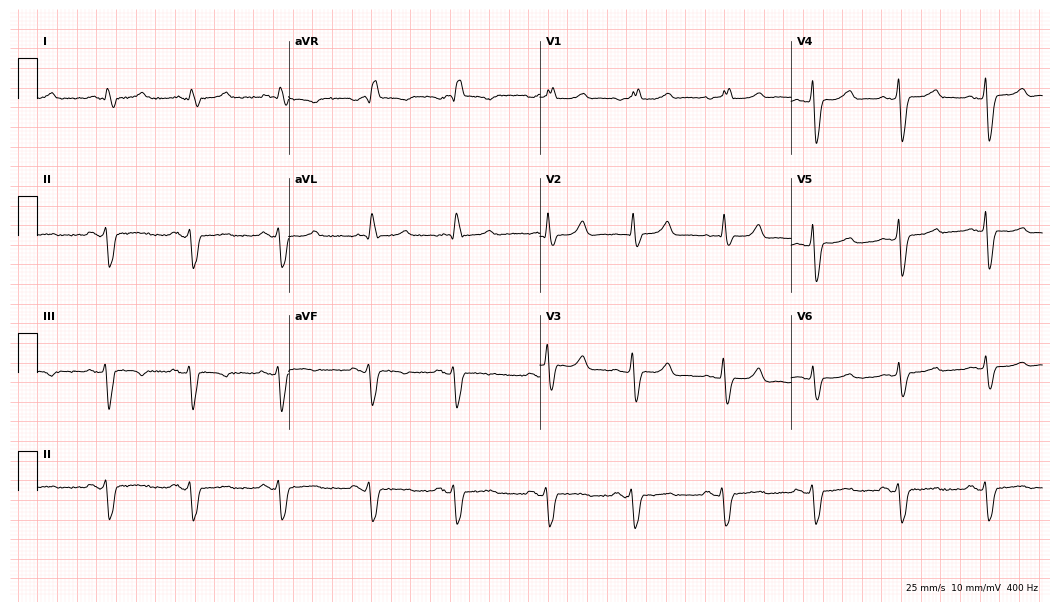
Resting 12-lead electrocardiogram (10.2-second recording at 400 Hz). Patient: a 75-year-old man. The tracing shows right bundle branch block.